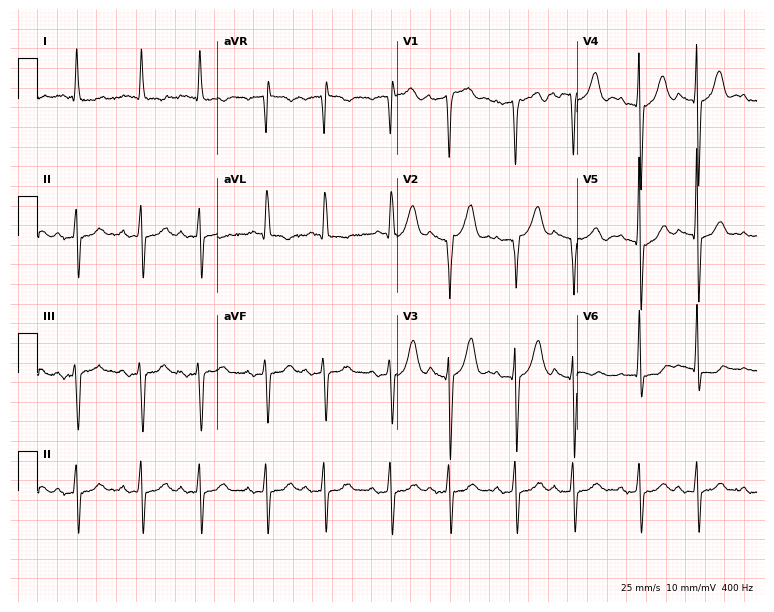
12-lead ECG from a male patient, 78 years old. Screened for six findings — first-degree AV block, right bundle branch block, left bundle branch block, sinus bradycardia, atrial fibrillation, sinus tachycardia — none is recorded. Other findings, if any, are not listed.